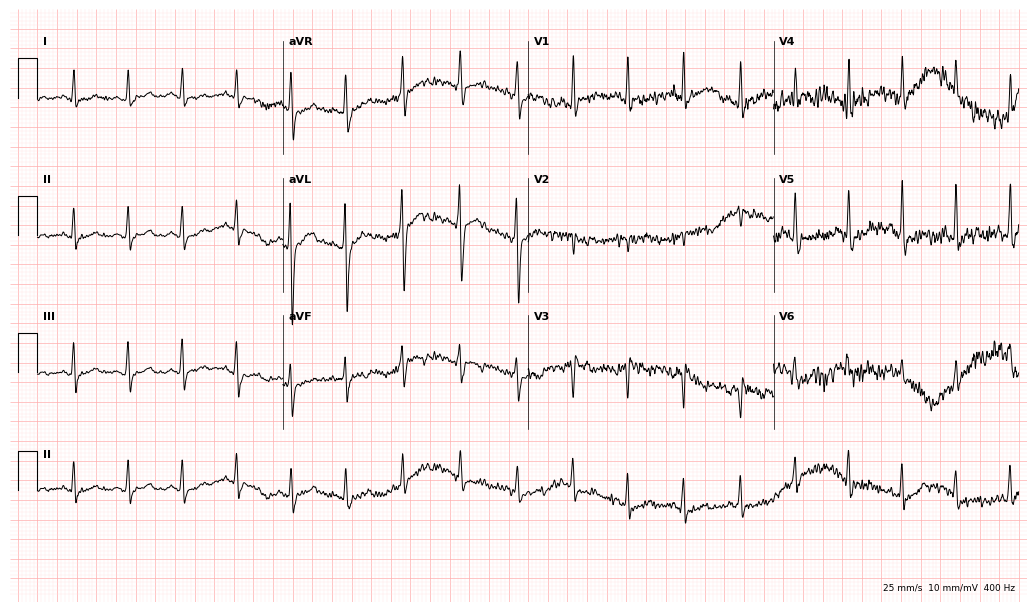
Standard 12-lead ECG recorded from a woman, 27 years old. None of these six findings is recorded: first-degree AV block, right bundle branch block, left bundle branch block, sinus bradycardia, atrial fibrillation, sinus tachycardia. Other findings, if any, are not listed.